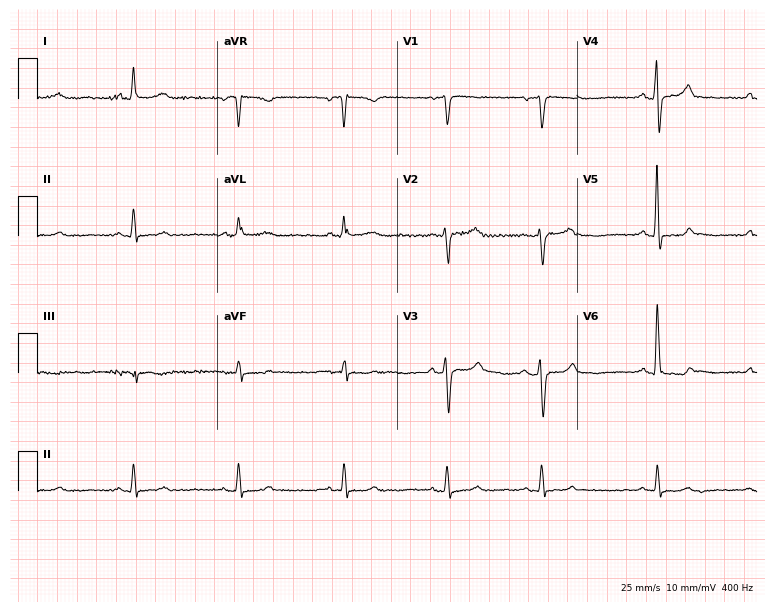
Resting 12-lead electrocardiogram (7.3-second recording at 400 Hz). Patient: a woman, 67 years old. None of these six findings is recorded: first-degree AV block, right bundle branch block, left bundle branch block, sinus bradycardia, atrial fibrillation, sinus tachycardia.